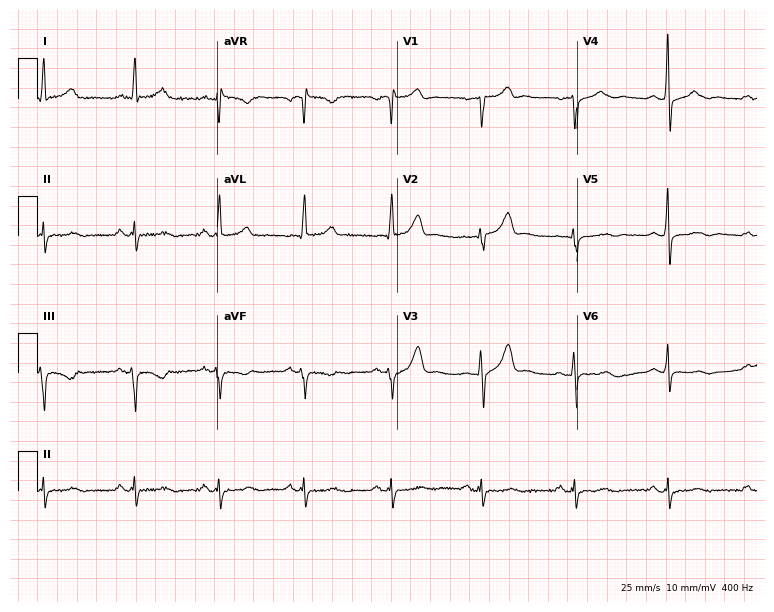
Standard 12-lead ECG recorded from a 59-year-old male. None of these six findings is recorded: first-degree AV block, right bundle branch block, left bundle branch block, sinus bradycardia, atrial fibrillation, sinus tachycardia. Other findings, if any, are not listed.